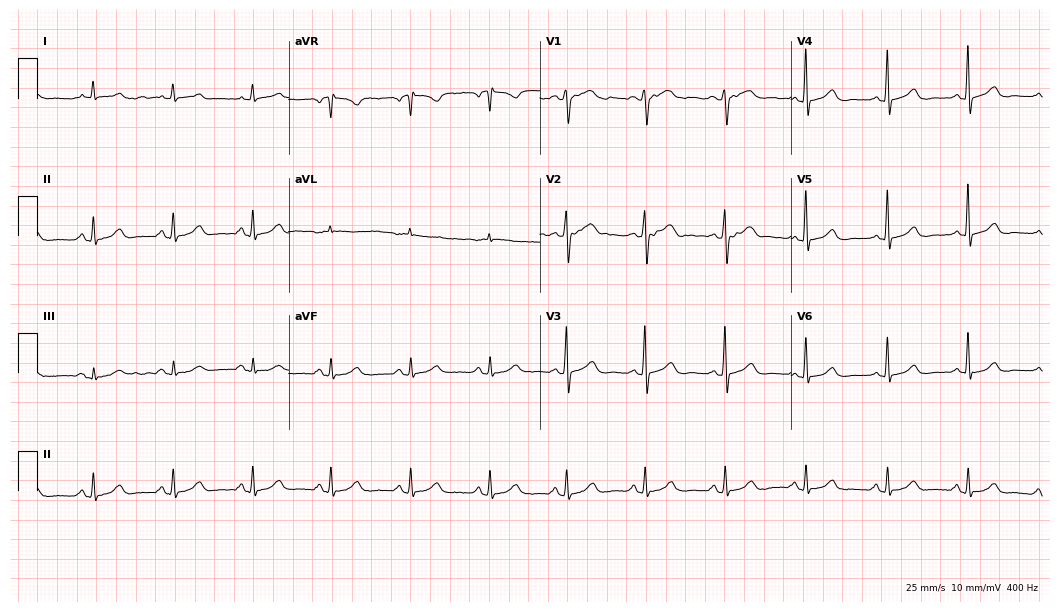
12-lead ECG from a 65-year-old female patient. Recorded interpretation: within normal limits.